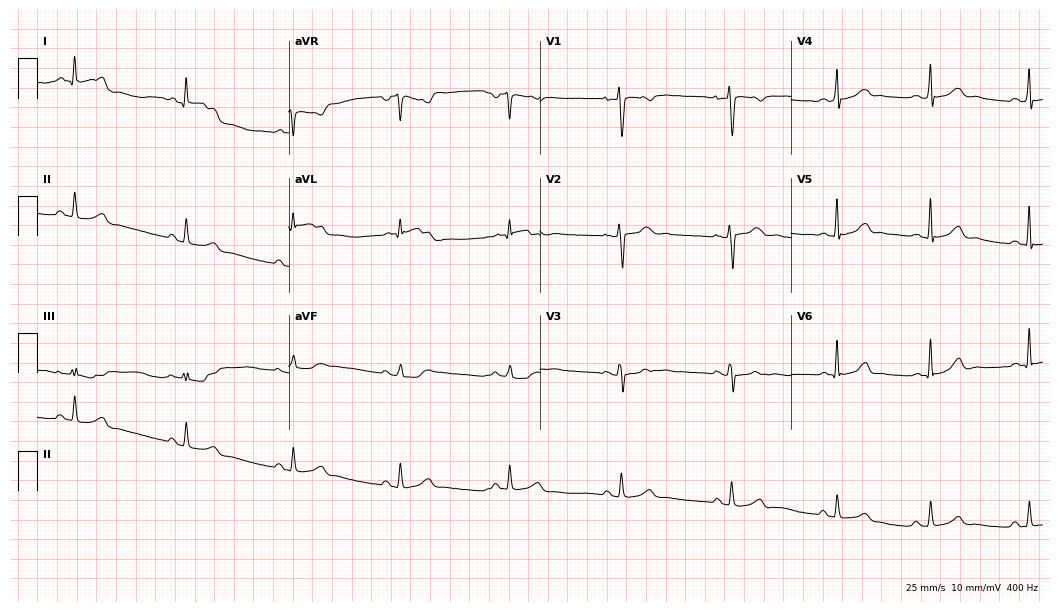
Electrocardiogram (10.2-second recording at 400 Hz), a female, 30 years old. Of the six screened findings (first-degree AV block, right bundle branch block, left bundle branch block, sinus bradycardia, atrial fibrillation, sinus tachycardia), none is recorded.